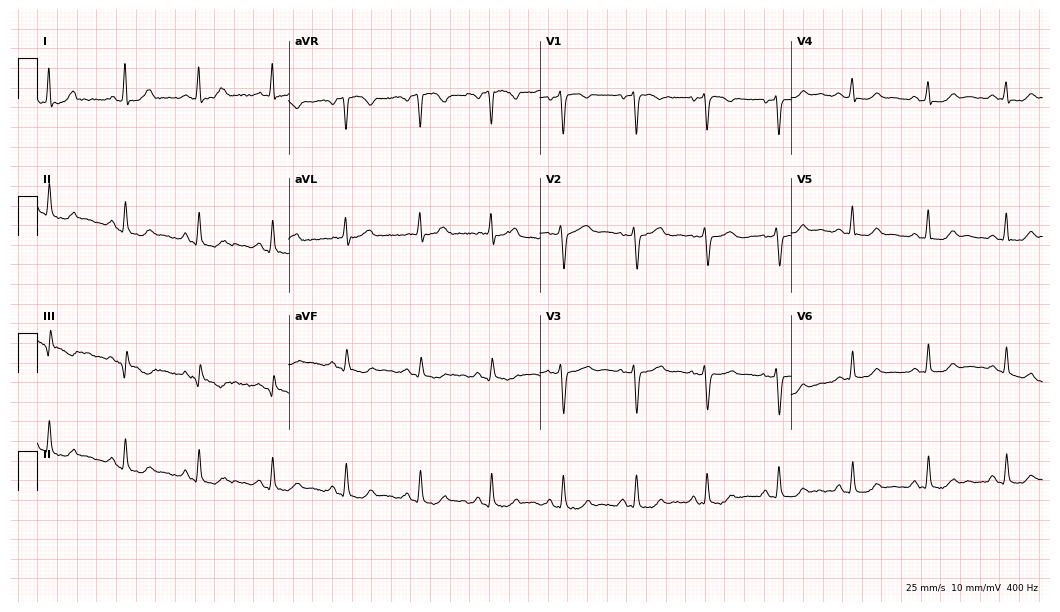
Standard 12-lead ECG recorded from a 43-year-old female patient. None of these six findings is recorded: first-degree AV block, right bundle branch block (RBBB), left bundle branch block (LBBB), sinus bradycardia, atrial fibrillation (AF), sinus tachycardia.